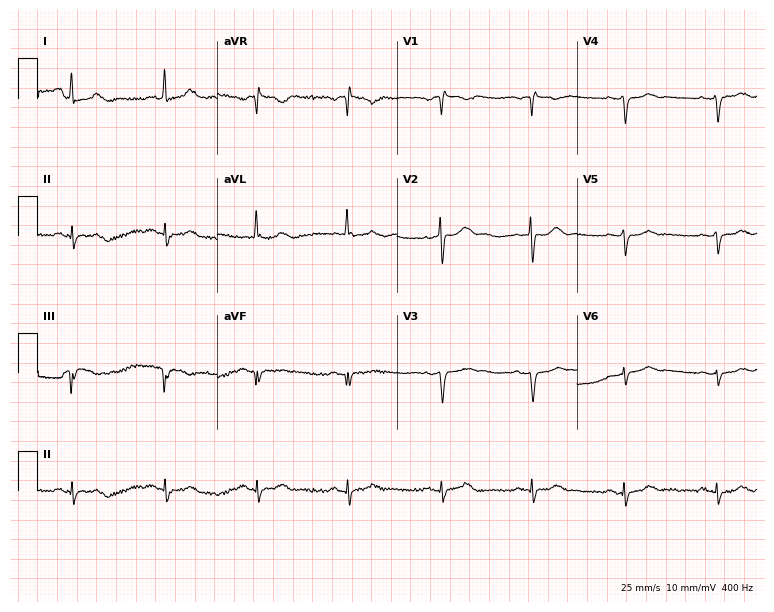
Standard 12-lead ECG recorded from a 68-year-old female patient (7.3-second recording at 400 Hz). None of these six findings is recorded: first-degree AV block, right bundle branch block (RBBB), left bundle branch block (LBBB), sinus bradycardia, atrial fibrillation (AF), sinus tachycardia. Findings outside these six are not listed.